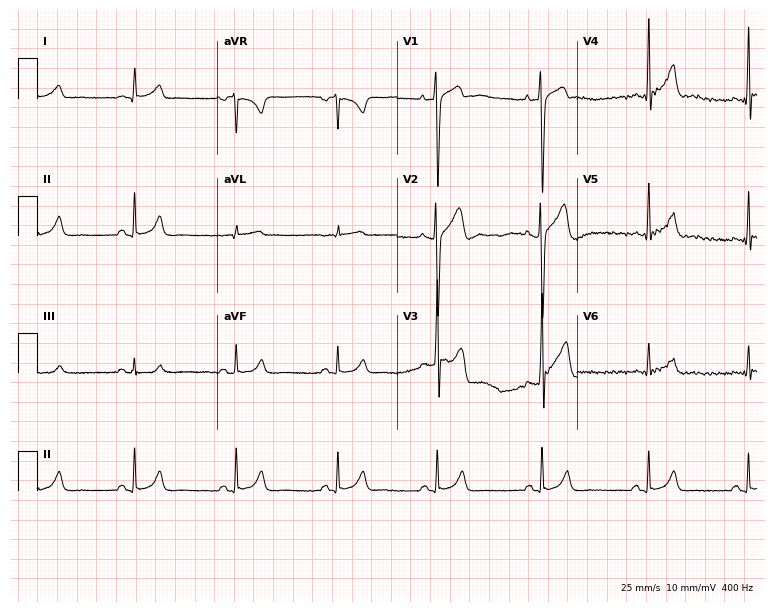
Electrocardiogram (7.3-second recording at 400 Hz), a male, 24 years old. Overall reading on record: normal ECG.